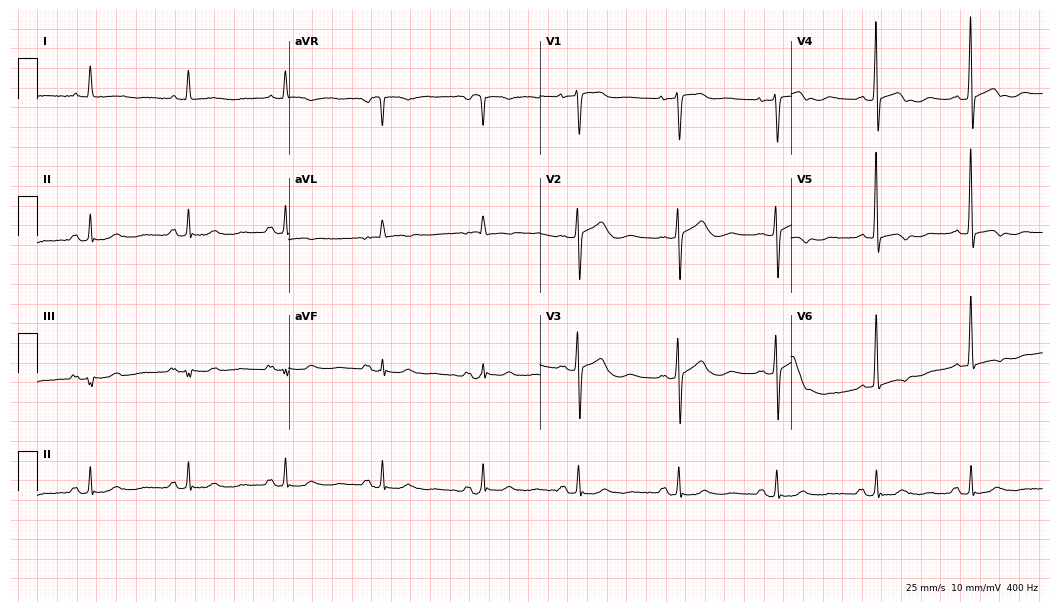
Standard 12-lead ECG recorded from a female patient, 75 years old (10.2-second recording at 400 Hz). None of these six findings is recorded: first-degree AV block, right bundle branch block (RBBB), left bundle branch block (LBBB), sinus bradycardia, atrial fibrillation (AF), sinus tachycardia.